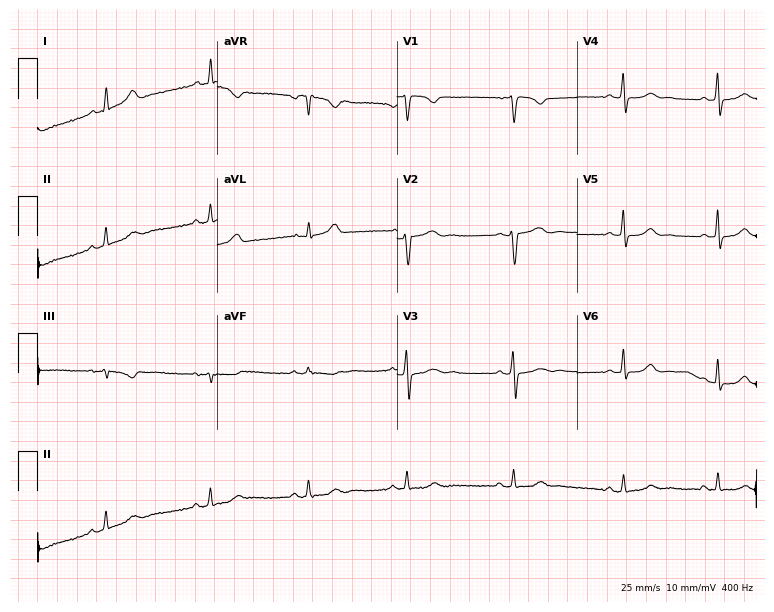
Standard 12-lead ECG recorded from a female patient, 25 years old. None of these six findings is recorded: first-degree AV block, right bundle branch block (RBBB), left bundle branch block (LBBB), sinus bradycardia, atrial fibrillation (AF), sinus tachycardia.